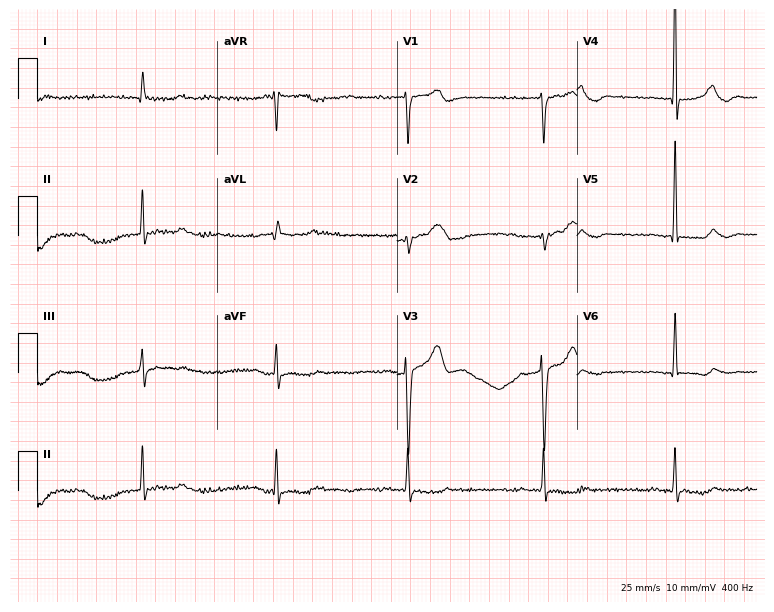
ECG — a male, 84 years old. Findings include first-degree AV block, sinus bradycardia (a sinus rate of 50 beats per minute or less).